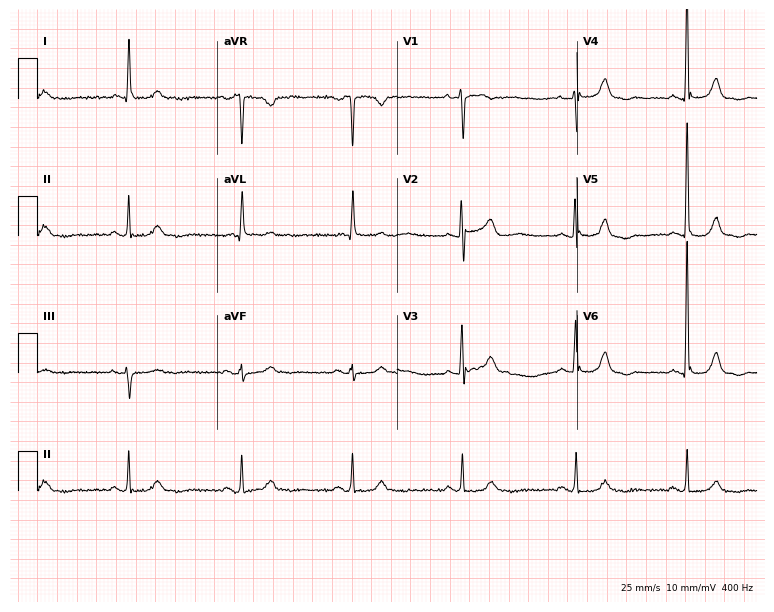
ECG (7.3-second recording at 400 Hz) — an 85-year-old female patient. Labelled as a normal ECG.